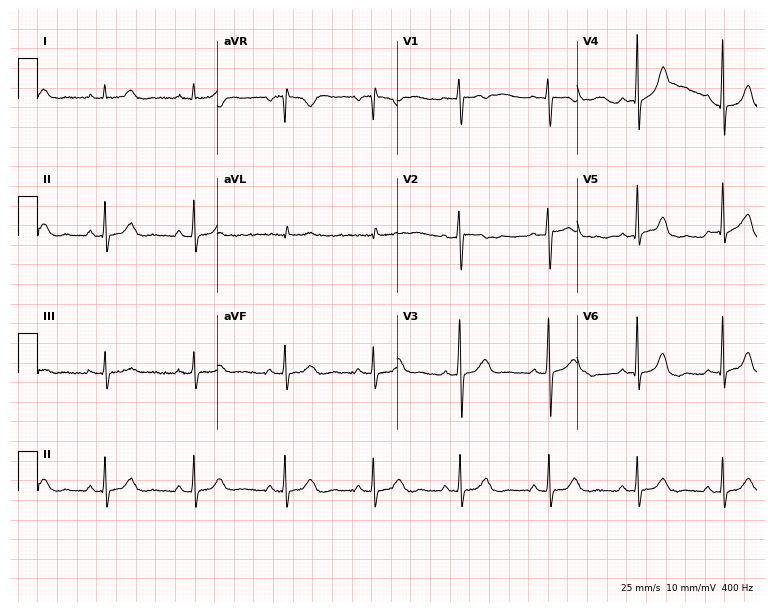
Standard 12-lead ECG recorded from a female, 35 years old (7.3-second recording at 400 Hz). Read as a normal ECG.